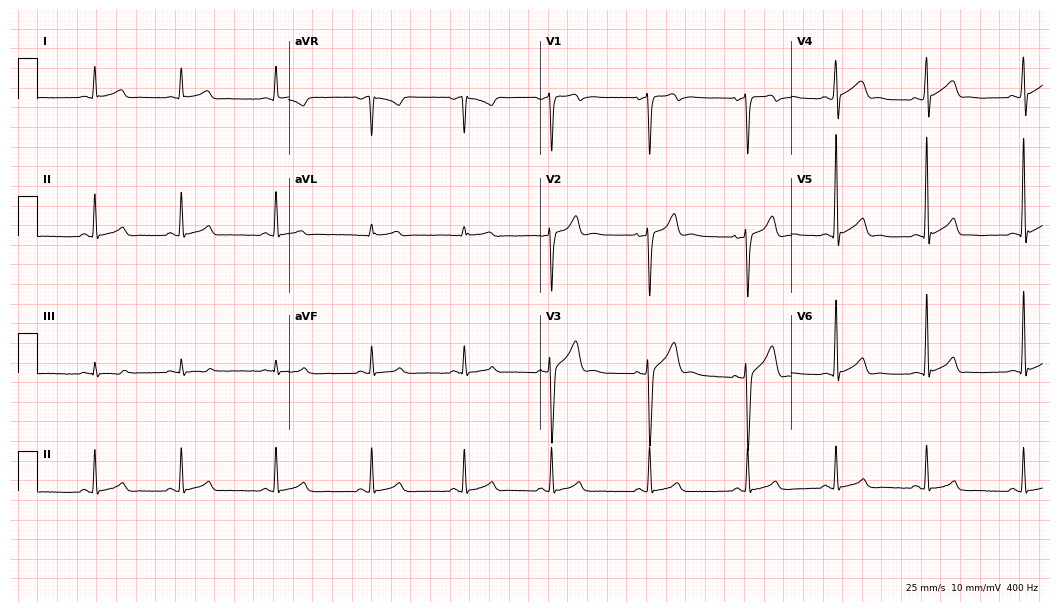
Resting 12-lead electrocardiogram (10.2-second recording at 400 Hz). Patient: a 30-year-old man. None of these six findings is recorded: first-degree AV block, right bundle branch block, left bundle branch block, sinus bradycardia, atrial fibrillation, sinus tachycardia. Findings outside these six are not listed.